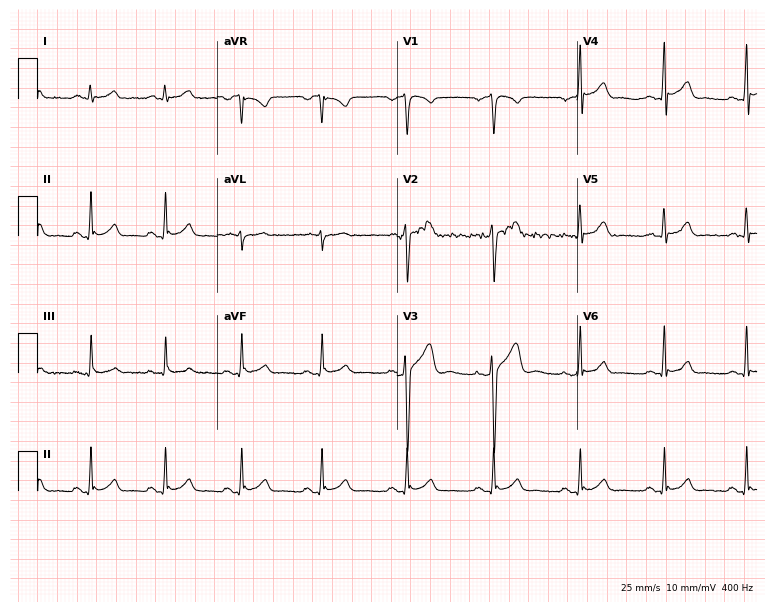
Resting 12-lead electrocardiogram (7.3-second recording at 400 Hz). Patient: a man, 52 years old. Read as a normal ECG.